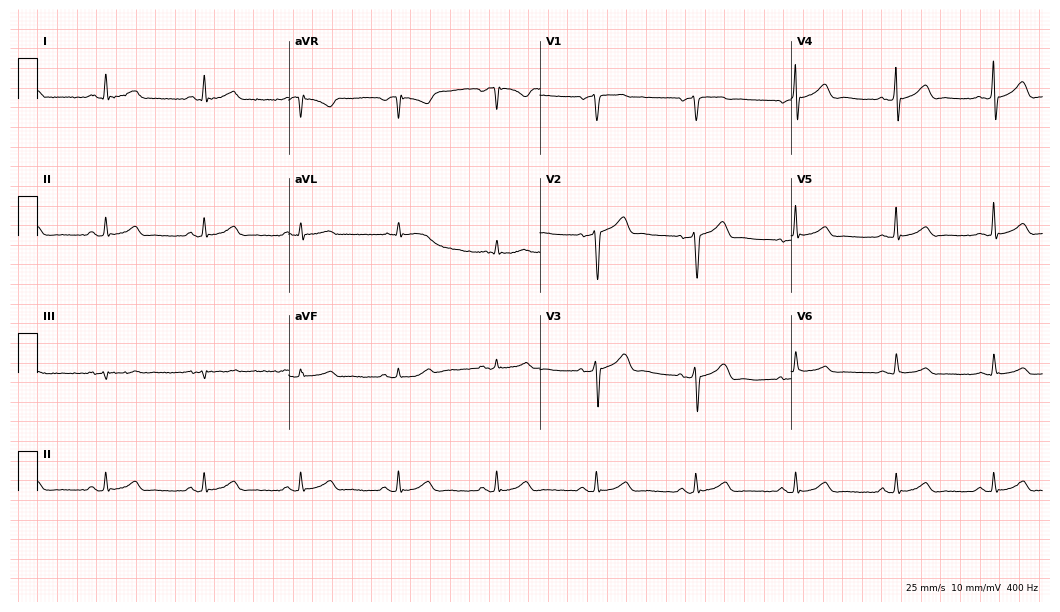
Resting 12-lead electrocardiogram. Patient: a 50-year-old female. Read as a normal ECG.